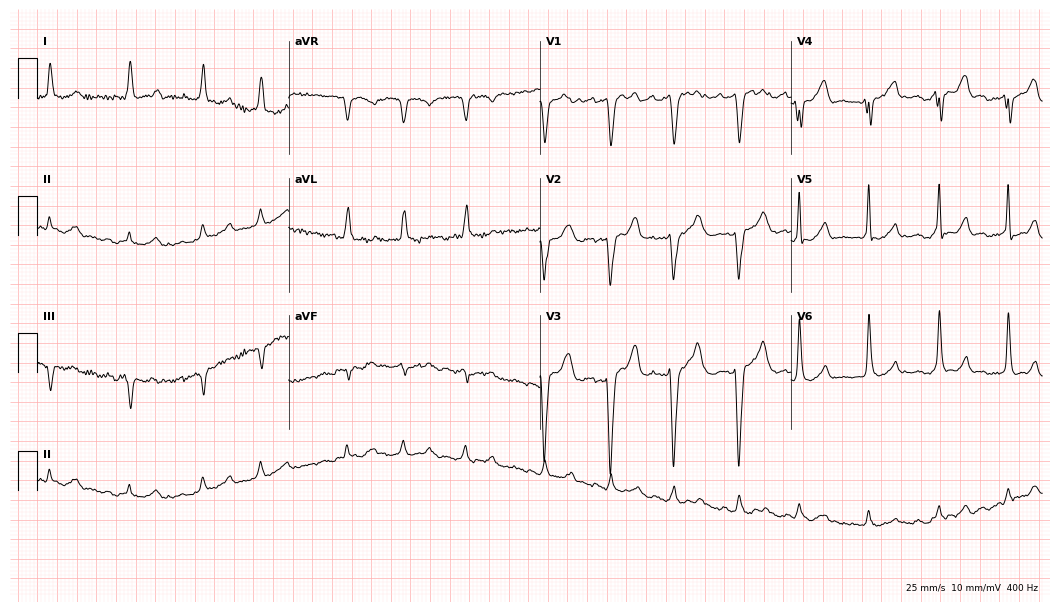
ECG — a man, 73 years old. Findings include atrial fibrillation.